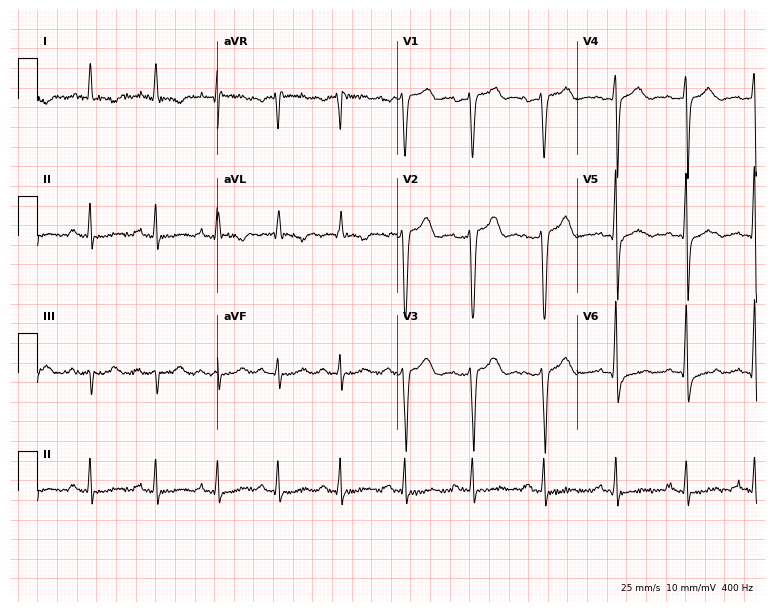
Electrocardiogram (7.3-second recording at 400 Hz), a man, 50 years old. Of the six screened findings (first-degree AV block, right bundle branch block (RBBB), left bundle branch block (LBBB), sinus bradycardia, atrial fibrillation (AF), sinus tachycardia), none is recorded.